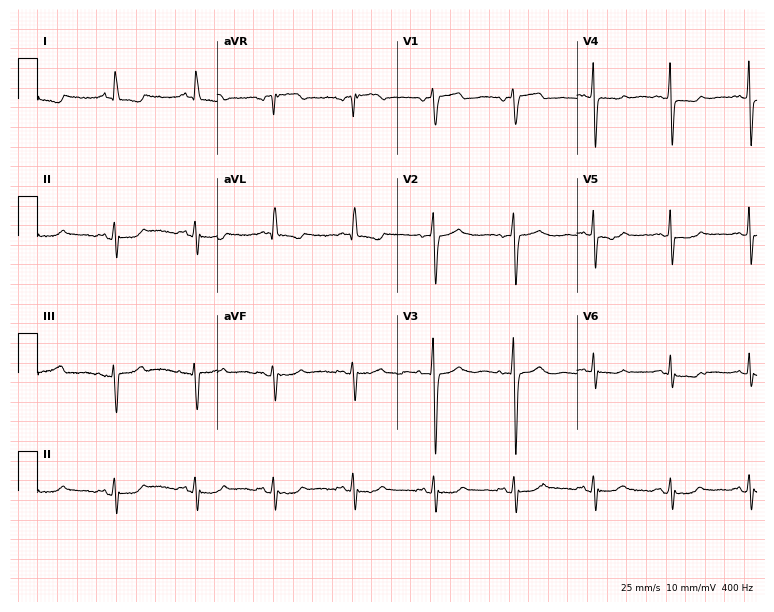
Resting 12-lead electrocardiogram (7.3-second recording at 400 Hz). Patient: a 71-year-old woman. None of these six findings is recorded: first-degree AV block, right bundle branch block, left bundle branch block, sinus bradycardia, atrial fibrillation, sinus tachycardia.